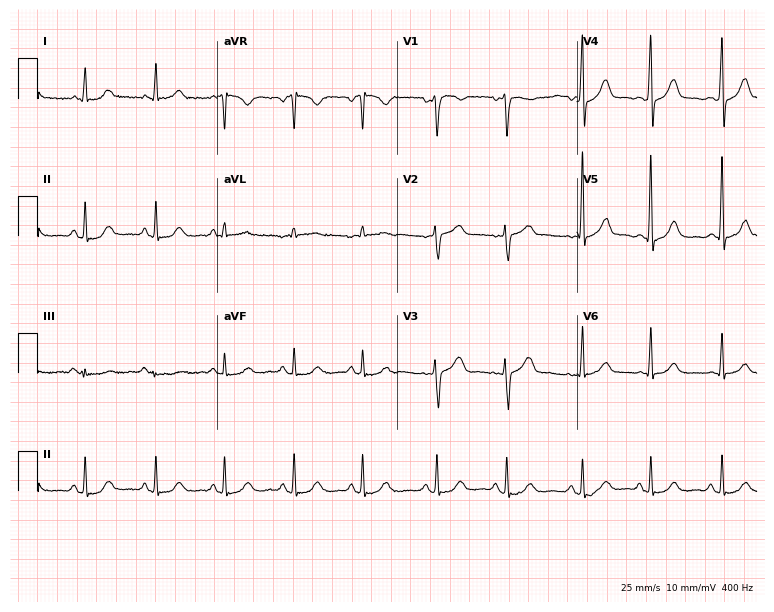
ECG — a 59-year-old female patient. Labelled as a normal ECG.